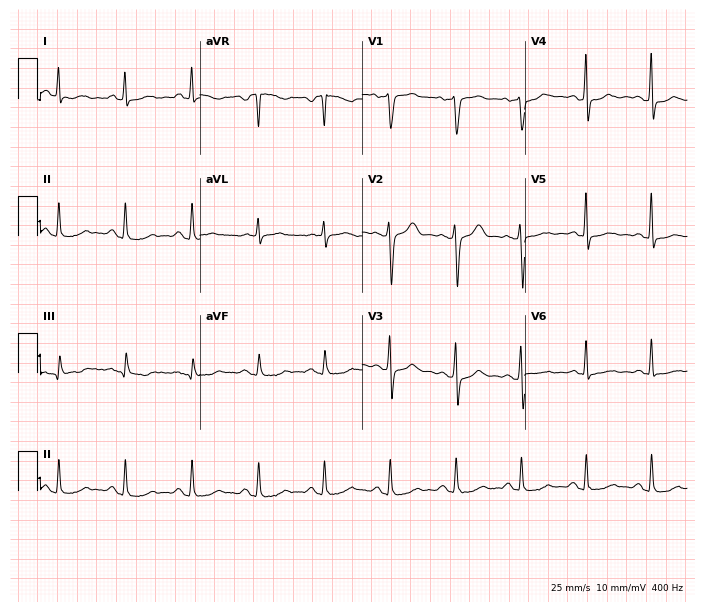
Electrocardiogram (6.6-second recording at 400 Hz), a 63-year-old male. Of the six screened findings (first-degree AV block, right bundle branch block, left bundle branch block, sinus bradycardia, atrial fibrillation, sinus tachycardia), none is recorded.